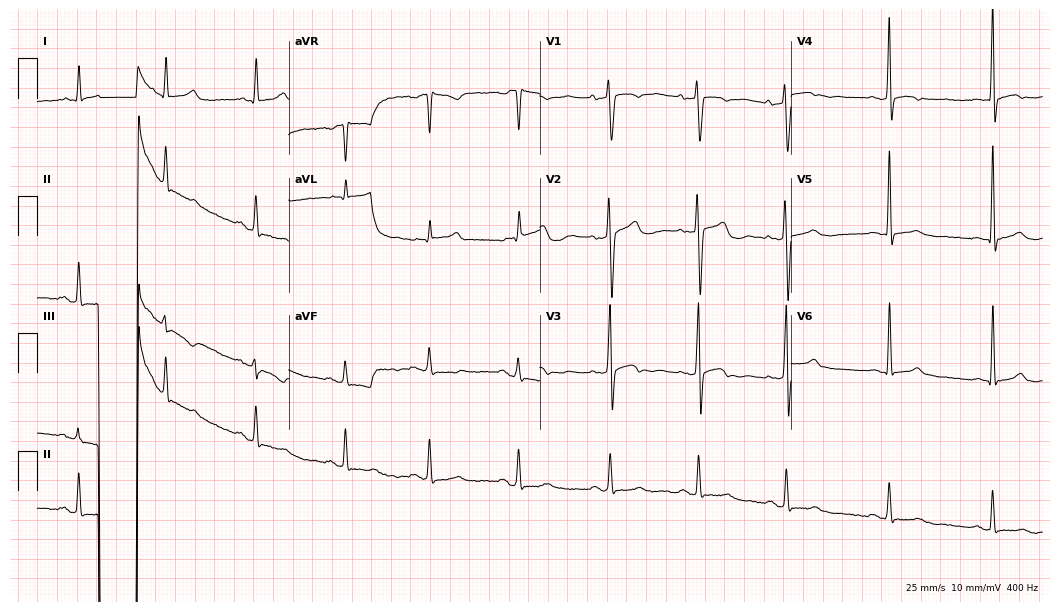
12-lead ECG from a 31-year-old male. Screened for six findings — first-degree AV block, right bundle branch block, left bundle branch block, sinus bradycardia, atrial fibrillation, sinus tachycardia — none is recorded. Only these six findings were labelled.